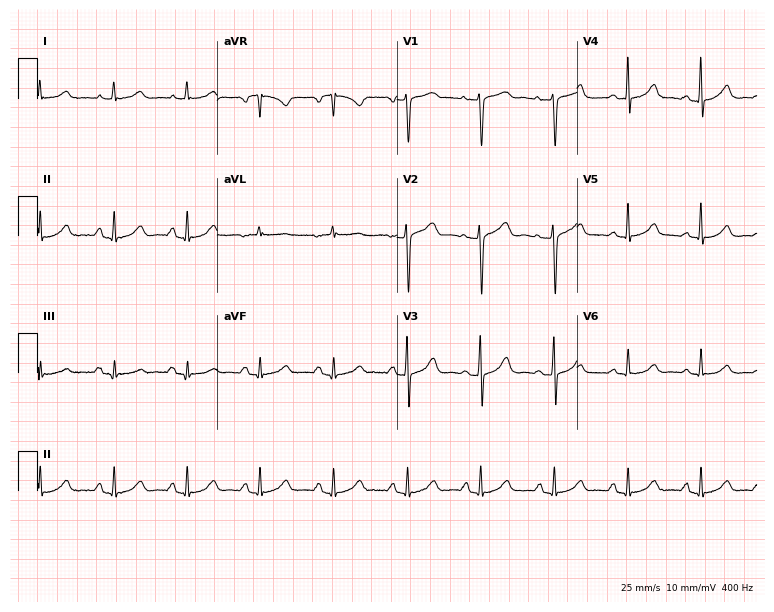
12-lead ECG (7.3-second recording at 400 Hz) from a 49-year-old female. Screened for six findings — first-degree AV block, right bundle branch block (RBBB), left bundle branch block (LBBB), sinus bradycardia, atrial fibrillation (AF), sinus tachycardia — none is recorded. Other findings, if any, are not listed.